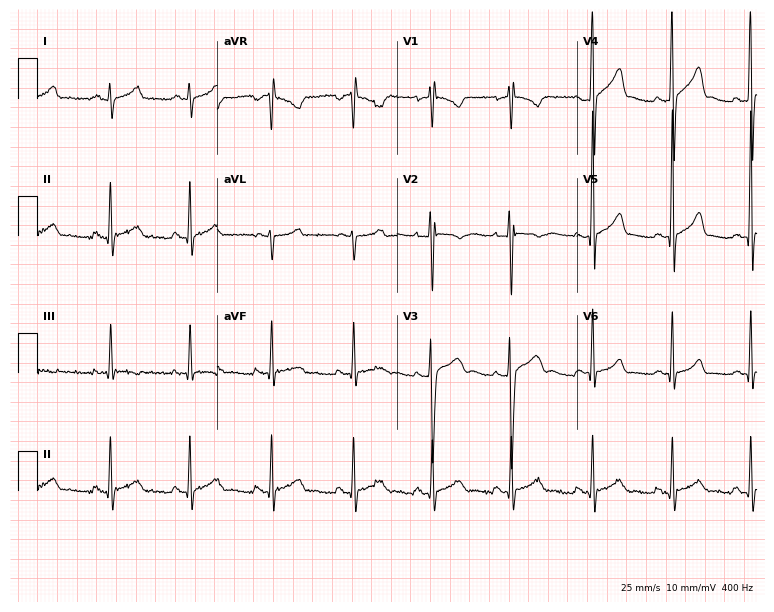
Standard 12-lead ECG recorded from a man, 17 years old. None of these six findings is recorded: first-degree AV block, right bundle branch block (RBBB), left bundle branch block (LBBB), sinus bradycardia, atrial fibrillation (AF), sinus tachycardia.